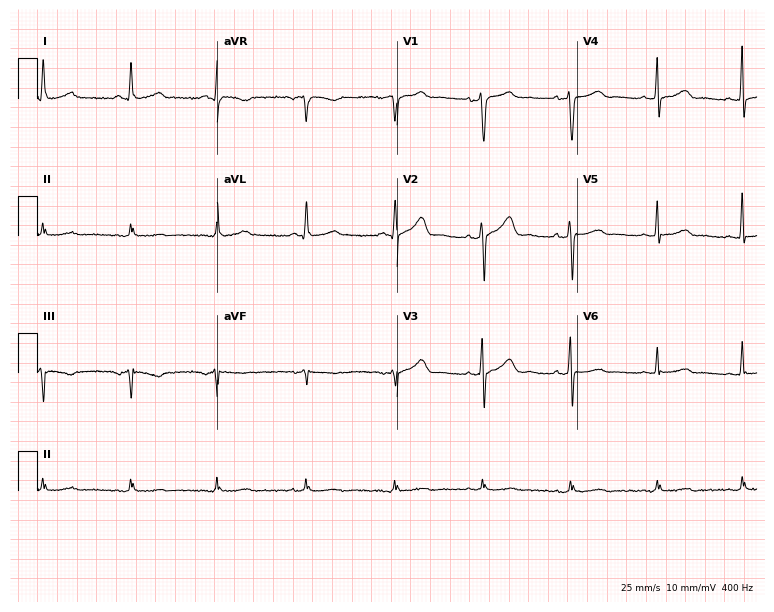
Resting 12-lead electrocardiogram (7.3-second recording at 400 Hz). Patient: a 54-year-old female. Read as a normal ECG.